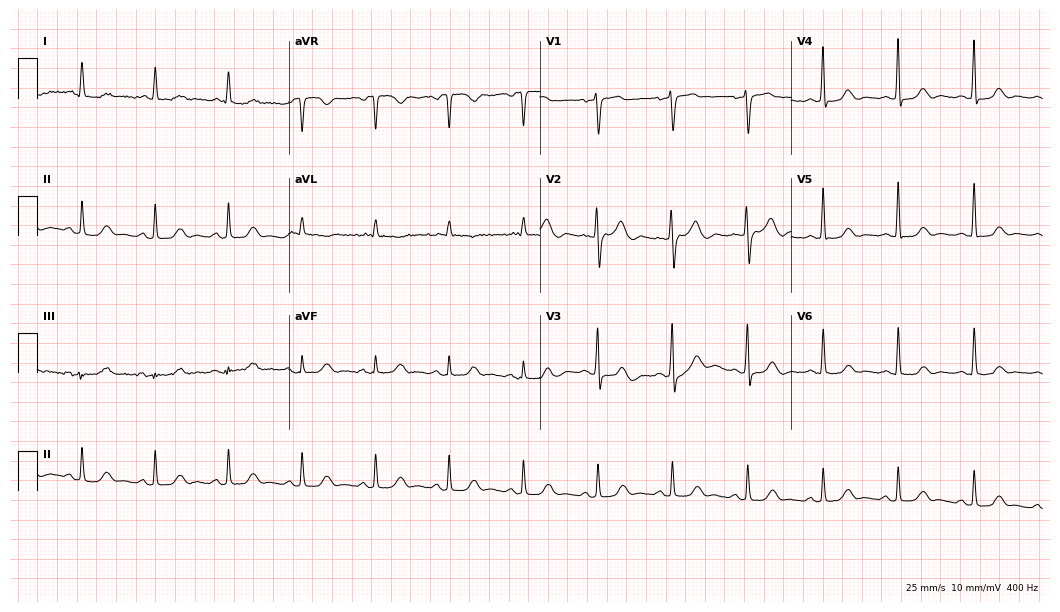
Resting 12-lead electrocardiogram (10.2-second recording at 400 Hz). Patient: a 67-year-old female. None of these six findings is recorded: first-degree AV block, right bundle branch block, left bundle branch block, sinus bradycardia, atrial fibrillation, sinus tachycardia.